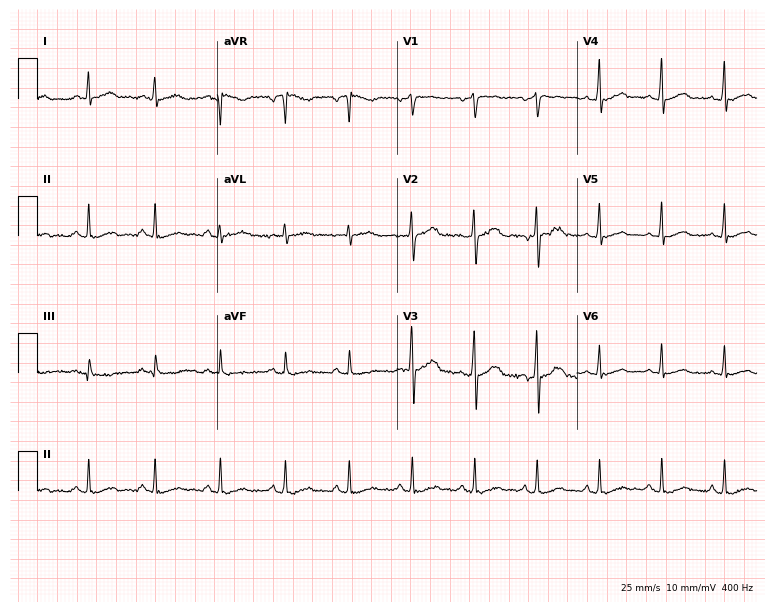
Standard 12-lead ECG recorded from a 49-year-old male (7.3-second recording at 400 Hz). None of these six findings is recorded: first-degree AV block, right bundle branch block (RBBB), left bundle branch block (LBBB), sinus bradycardia, atrial fibrillation (AF), sinus tachycardia. Only these six findings were labelled.